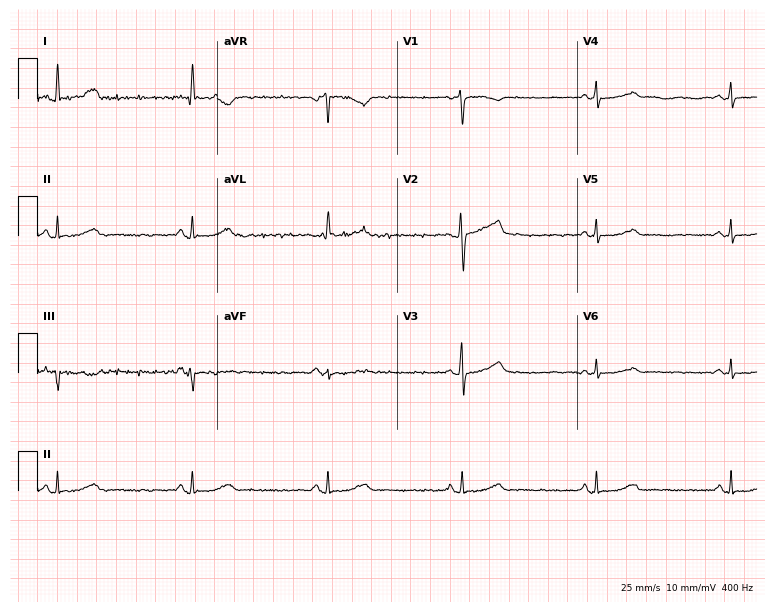
Electrocardiogram, a 43-year-old woman. Interpretation includes sinus bradycardia (a sinus rate of 50 beats per minute or less).